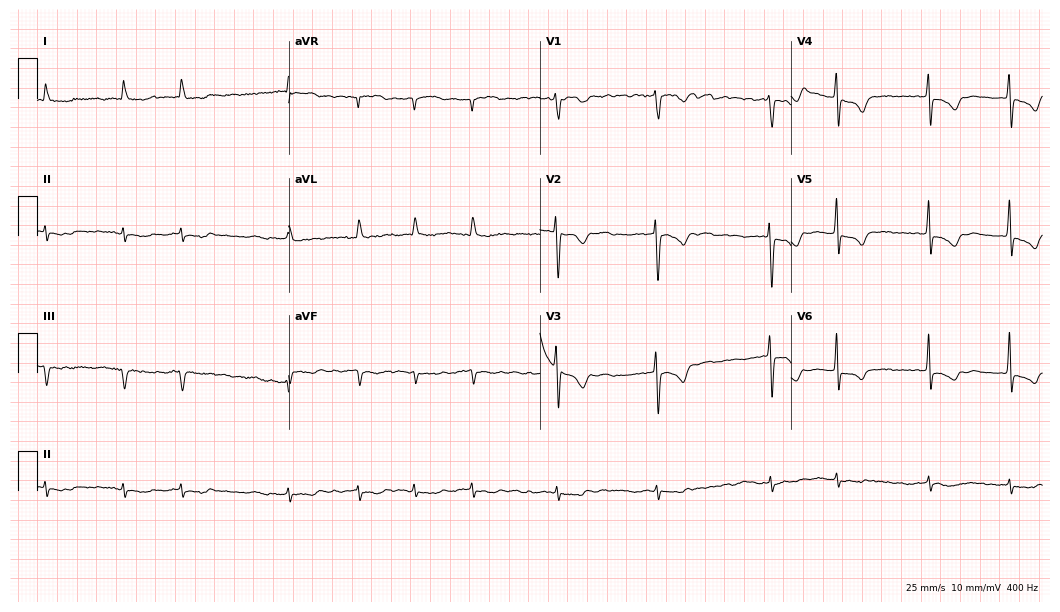
Resting 12-lead electrocardiogram. Patient: an 85-year-old female. None of these six findings is recorded: first-degree AV block, right bundle branch block, left bundle branch block, sinus bradycardia, atrial fibrillation, sinus tachycardia.